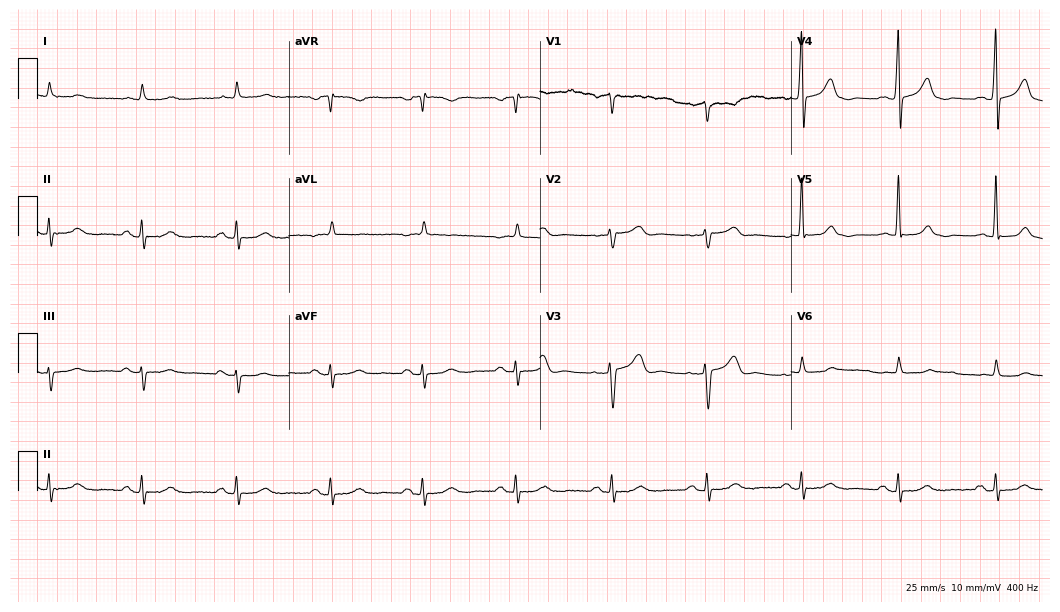
Resting 12-lead electrocardiogram (10.2-second recording at 400 Hz). Patient: a 72-year-old man. None of these six findings is recorded: first-degree AV block, right bundle branch block, left bundle branch block, sinus bradycardia, atrial fibrillation, sinus tachycardia. Only these six findings were labelled.